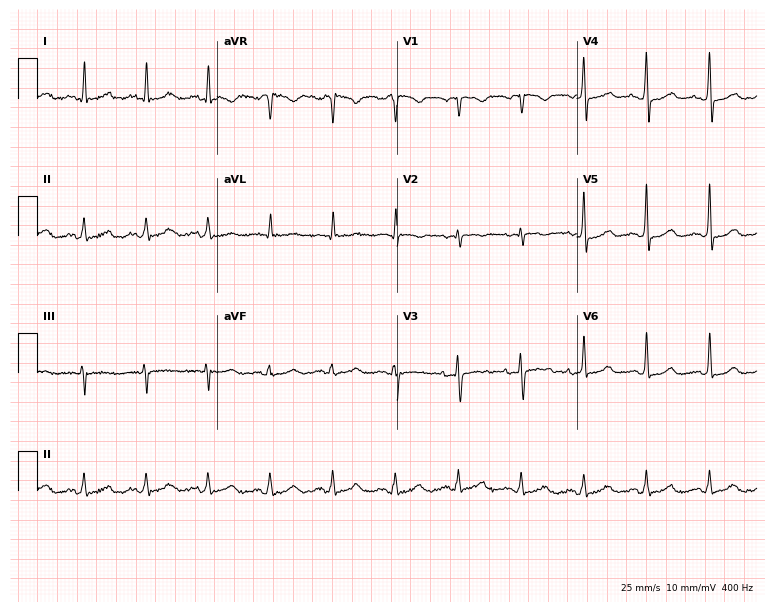
Electrocardiogram (7.3-second recording at 400 Hz), a 51-year-old female. Overall reading on record: normal ECG.